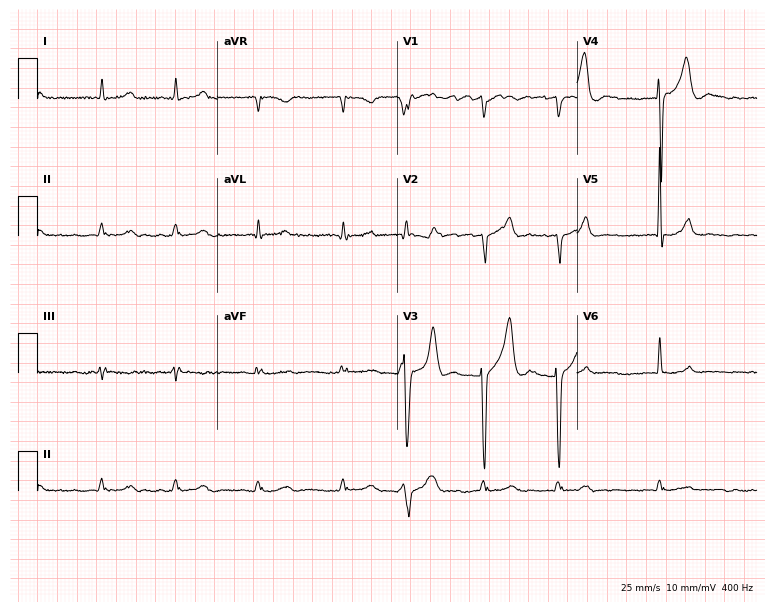
Electrocardiogram (7.3-second recording at 400 Hz), a female patient, 82 years old. Of the six screened findings (first-degree AV block, right bundle branch block, left bundle branch block, sinus bradycardia, atrial fibrillation, sinus tachycardia), none is recorded. Findings outside these six are not listed.